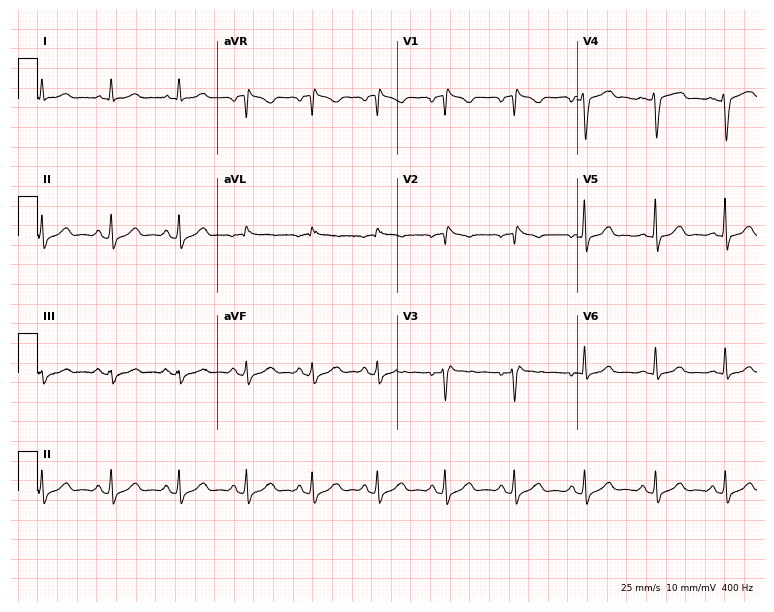
12-lead ECG (7.3-second recording at 400 Hz) from a female patient, 46 years old. Screened for six findings — first-degree AV block, right bundle branch block (RBBB), left bundle branch block (LBBB), sinus bradycardia, atrial fibrillation (AF), sinus tachycardia — none is recorded.